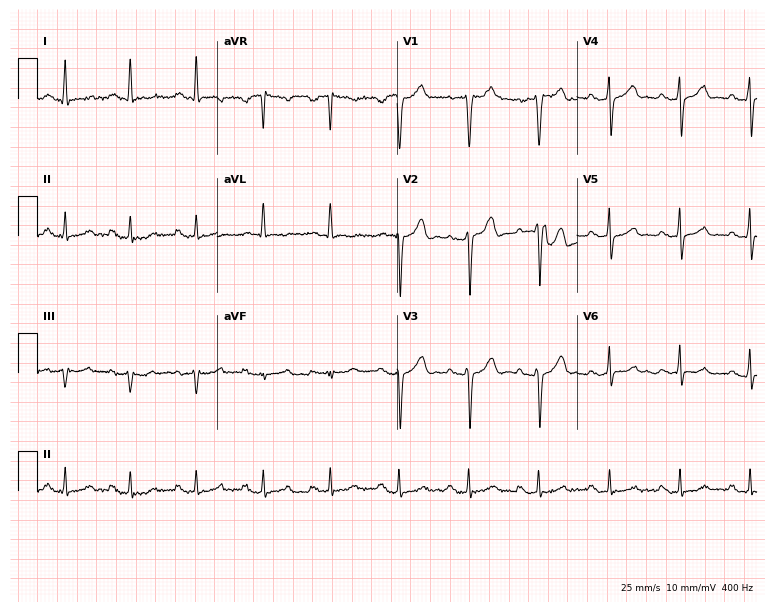
Electrocardiogram (7.3-second recording at 400 Hz), a male patient, 47 years old. Overall reading on record: normal ECG.